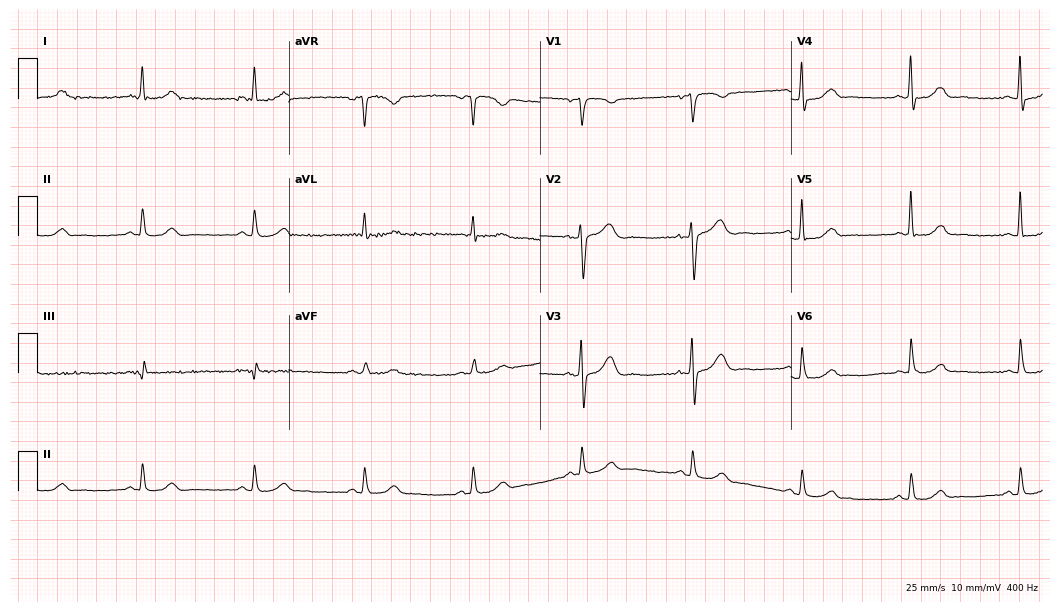
12-lead ECG from a 31-year-old female patient. No first-degree AV block, right bundle branch block (RBBB), left bundle branch block (LBBB), sinus bradycardia, atrial fibrillation (AF) or sinus tachycardia recorded for this tracing. Only these six findings were labelled.